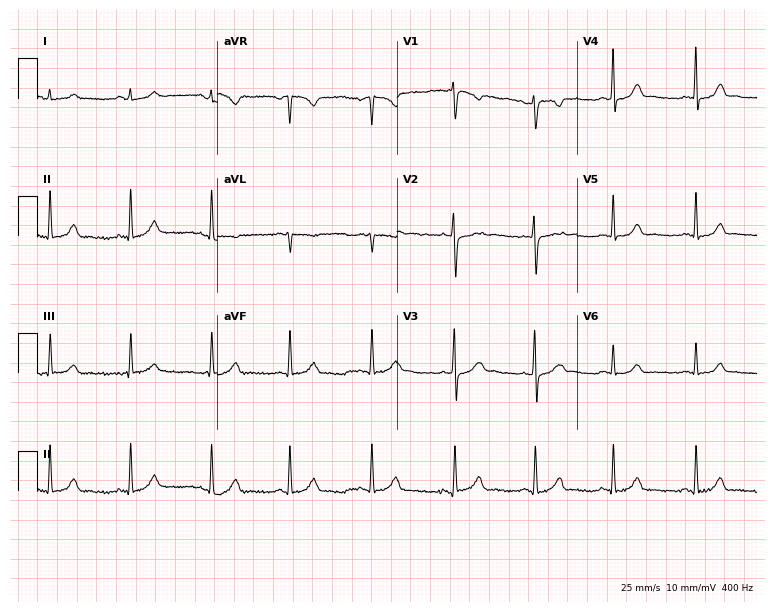
Electrocardiogram (7.3-second recording at 400 Hz), a female, 17 years old. Overall reading on record: normal ECG.